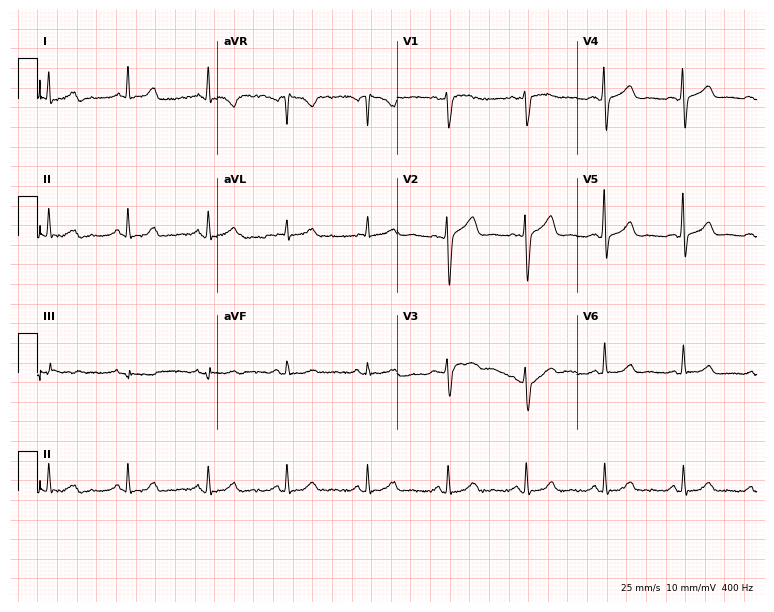
ECG (7.3-second recording at 400 Hz) — a female patient, 56 years old. Labelled as a normal ECG.